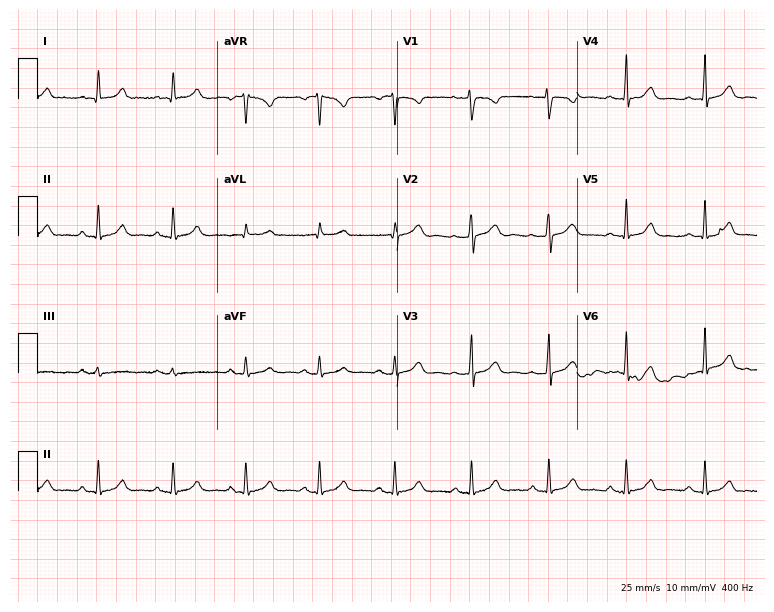
ECG (7.3-second recording at 400 Hz) — a woman, 37 years old. Labelled as a normal ECG.